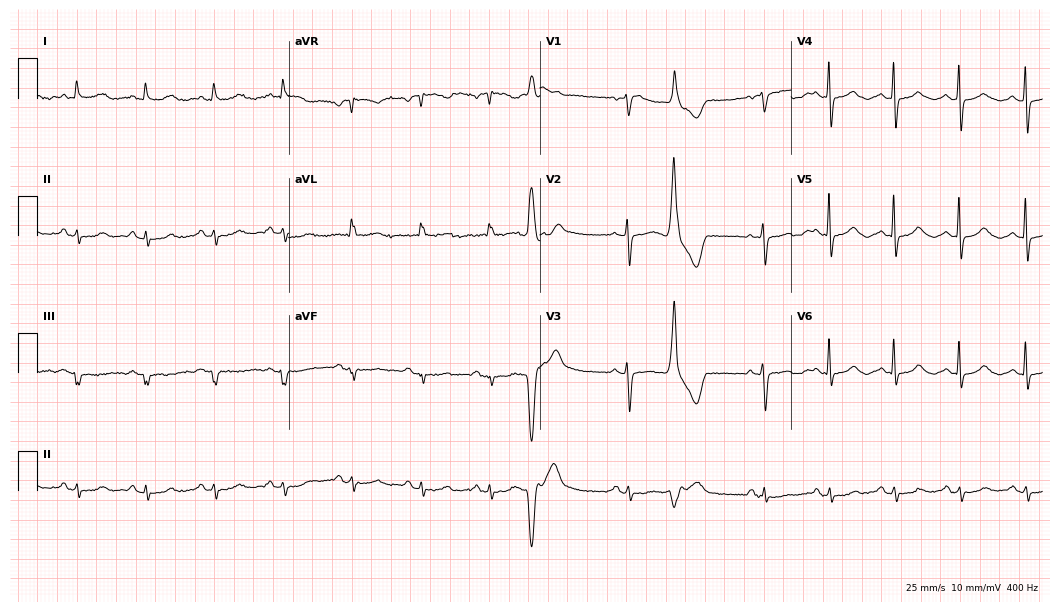
Standard 12-lead ECG recorded from a female, 77 years old (10.2-second recording at 400 Hz). None of these six findings is recorded: first-degree AV block, right bundle branch block, left bundle branch block, sinus bradycardia, atrial fibrillation, sinus tachycardia. Findings outside these six are not listed.